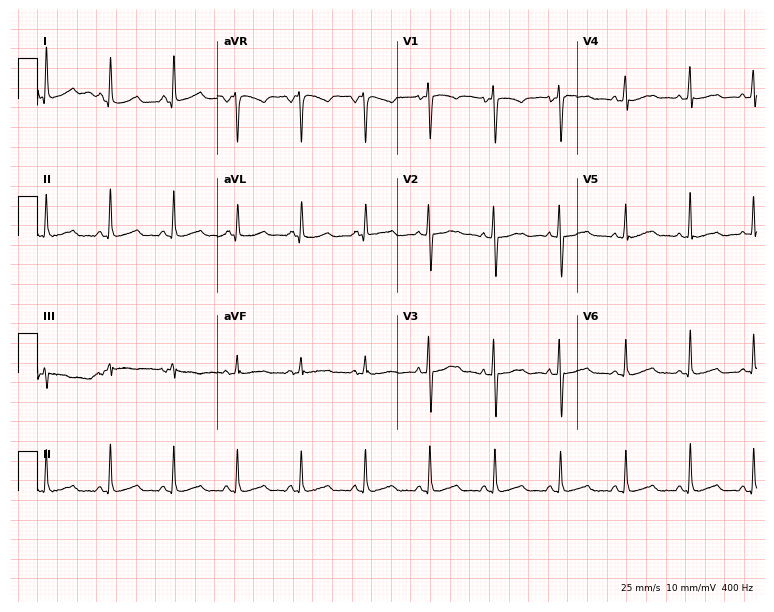
ECG — a female patient, 18 years old. Screened for six findings — first-degree AV block, right bundle branch block, left bundle branch block, sinus bradycardia, atrial fibrillation, sinus tachycardia — none is recorded.